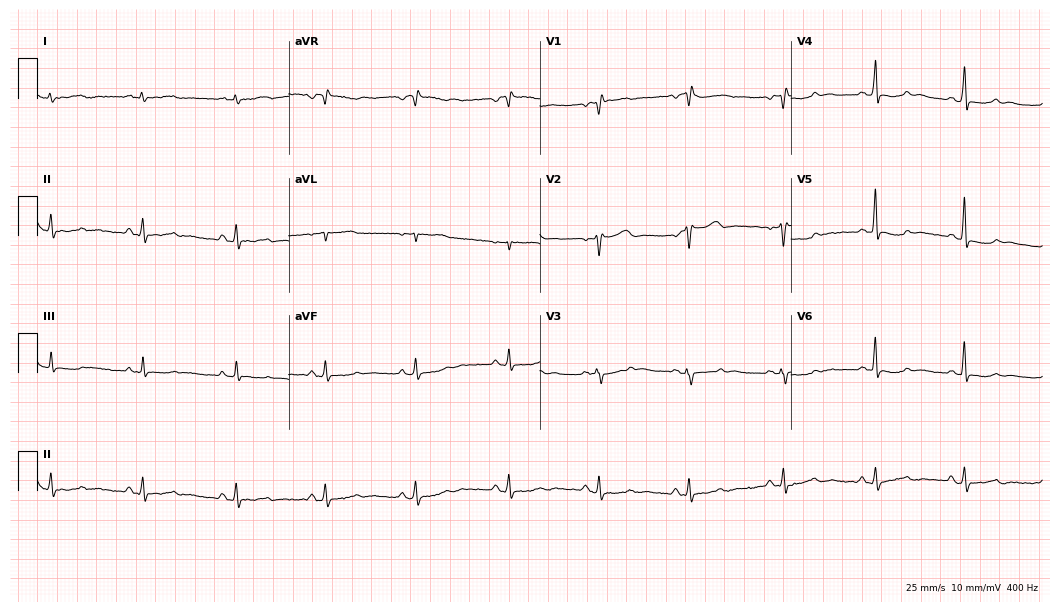
12-lead ECG (10.2-second recording at 400 Hz) from a woman, 47 years old. Screened for six findings — first-degree AV block, right bundle branch block (RBBB), left bundle branch block (LBBB), sinus bradycardia, atrial fibrillation (AF), sinus tachycardia — none is recorded.